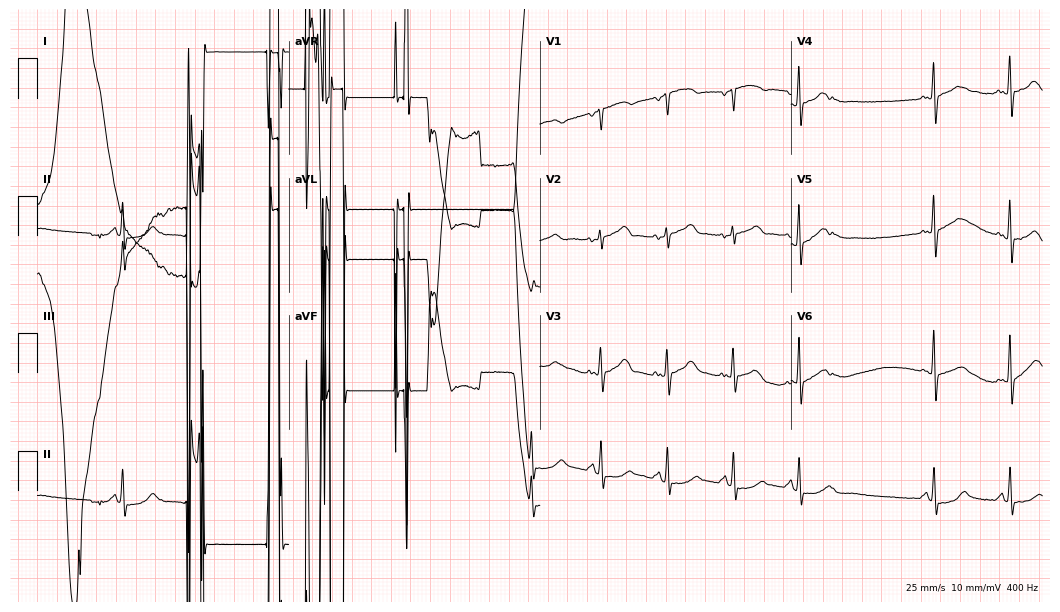
12-lead ECG (10.2-second recording at 400 Hz) from a 74-year-old man. Findings include sinus tachycardia (a sinus rate of 100 beats per minute or more).